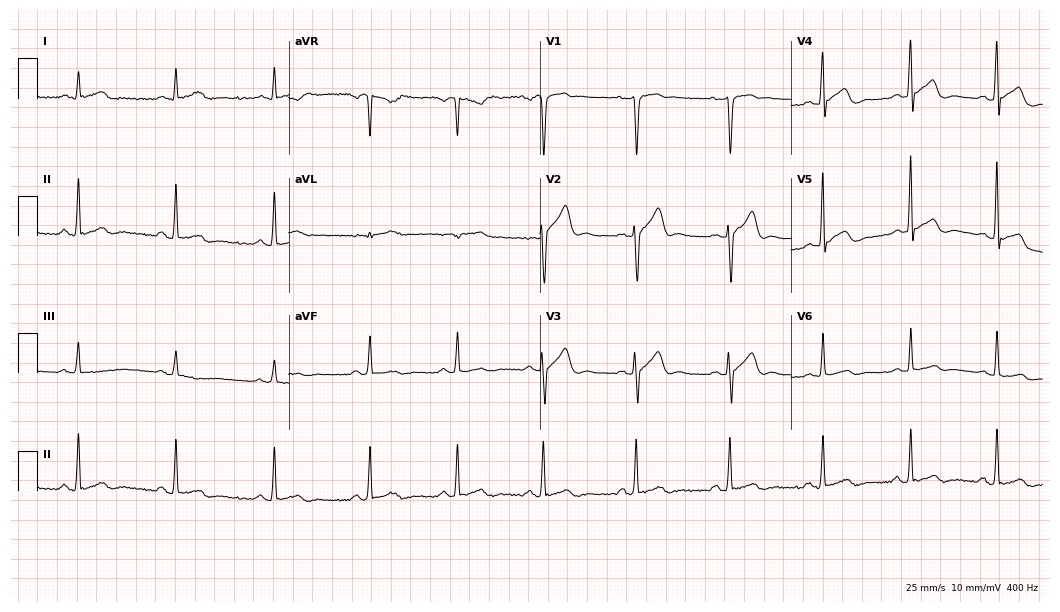
12-lead ECG from a male, 34 years old. Screened for six findings — first-degree AV block, right bundle branch block, left bundle branch block, sinus bradycardia, atrial fibrillation, sinus tachycardia — none is recorded.